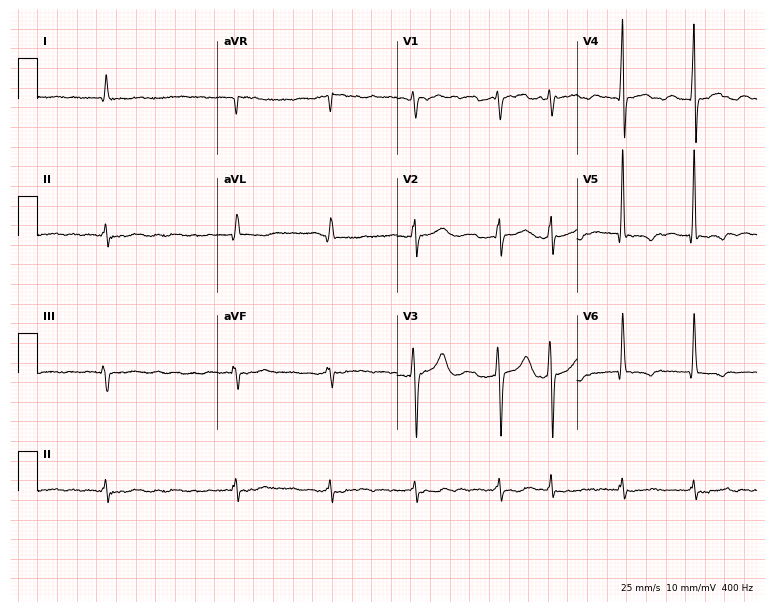
Standard 12-lead ECG recorded from a man, 77 years old. The tracing shows atrial fibrillation.